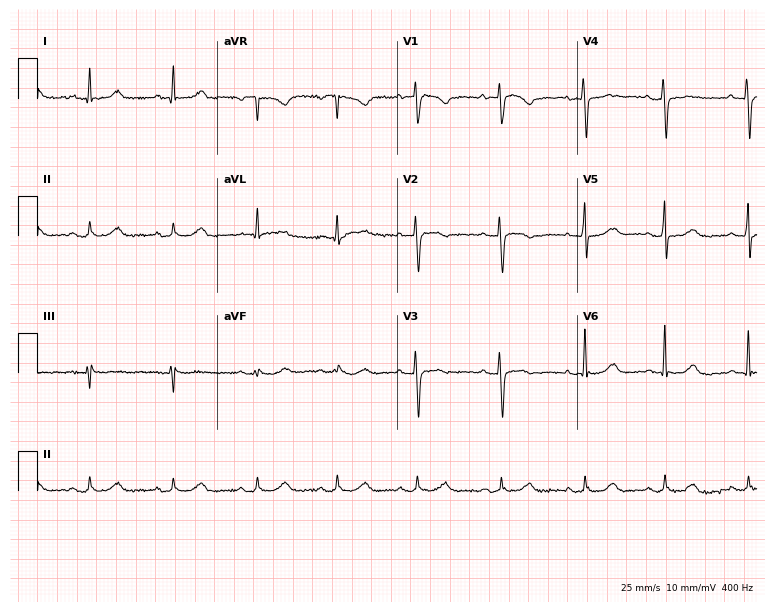
12-lead ECG (7.3-second recording at 400 Hz) from a female patient, 66 years old. Screened for six findings — first-degree AV block, right bundle branch block, left bundle branch block, sinus bradycardia, atrial fibrillation, sinus tachycardia — none is recorded. Findings outside these six are not listed.